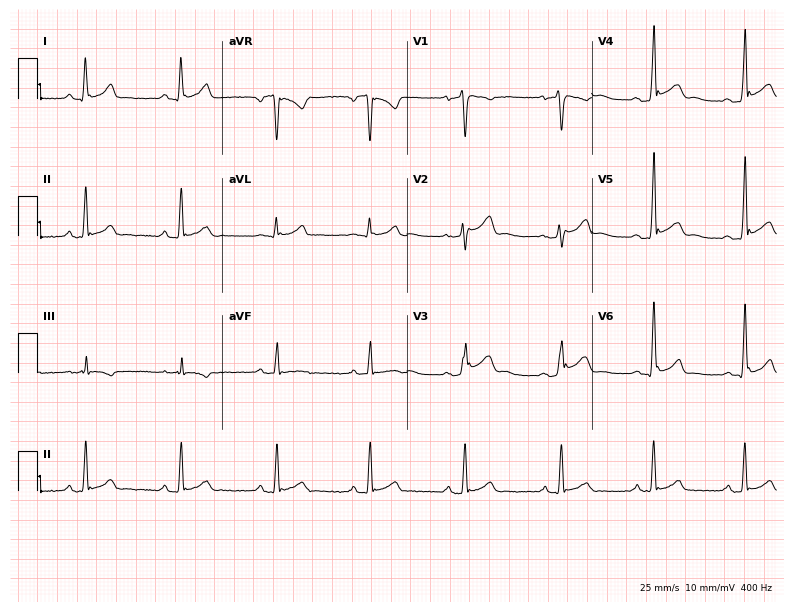
12-lead ECG from a male patient, 34 years old (7.5-second recording at 400 Hz). No first-degree AV block, right bundle branch block, left bundle branch block, sinus bradycardia, atrial fibrillation or sinus tachycardia recorded for this tracing.